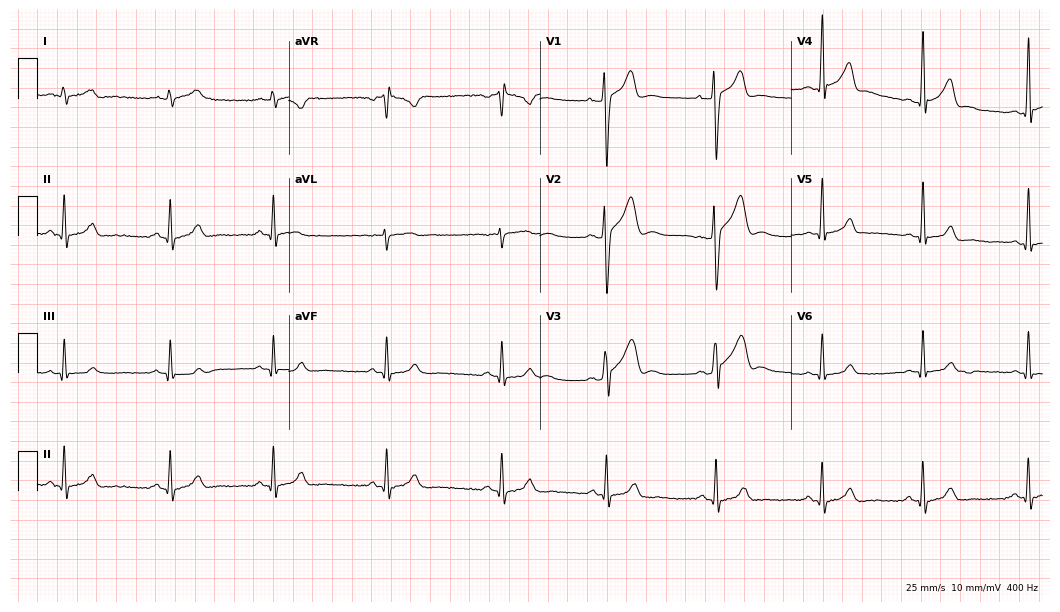
Electrocardiogram (10.2-second recording at 400 Hz), a 20-year-old male. Overall reading on record: normal ECG.